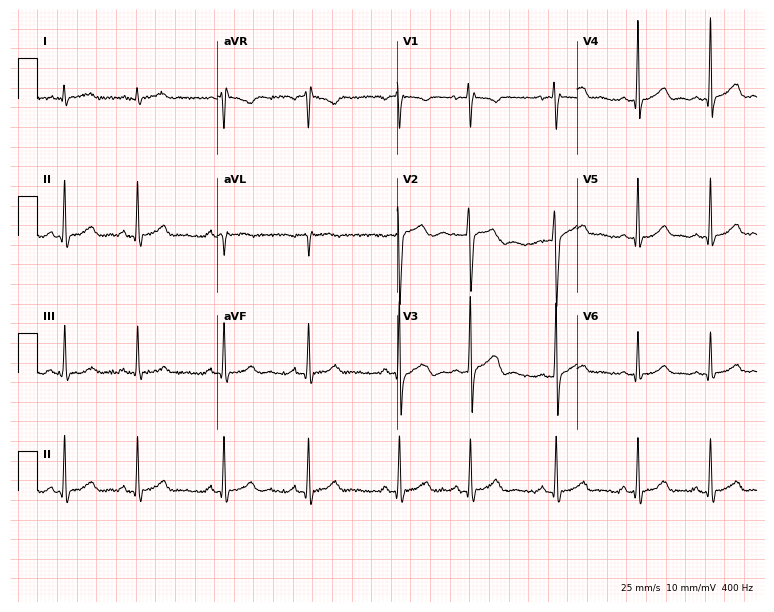
ECG (7.3-second recording at 400 Hz) — a male patient, 18 years old. Labelled as a normal ECG.